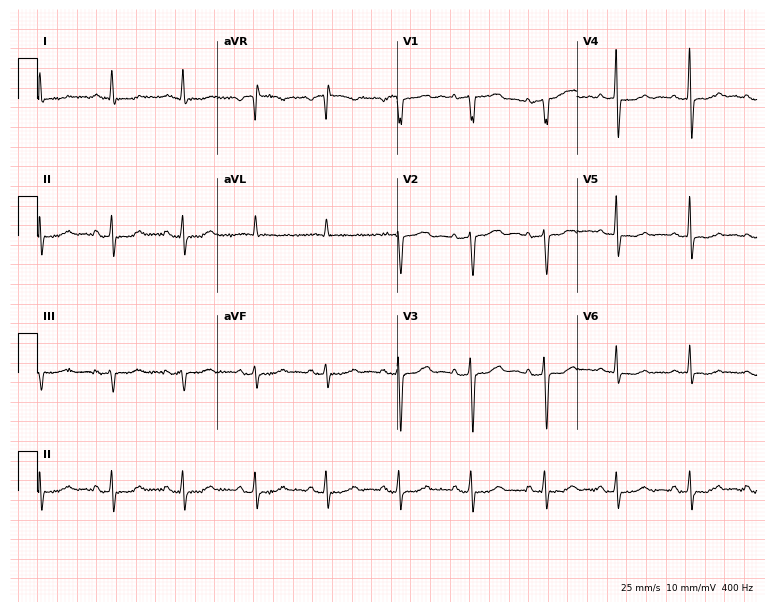
ECG (7.3-second recording at 400 Hz) — a 75-year-old female. Screened for six findings — first-degree AV block, right bundle branch block, left bundle branch block, sinus bradycardia, atrial fibrillation, sinus tachycardia — none is recorded.